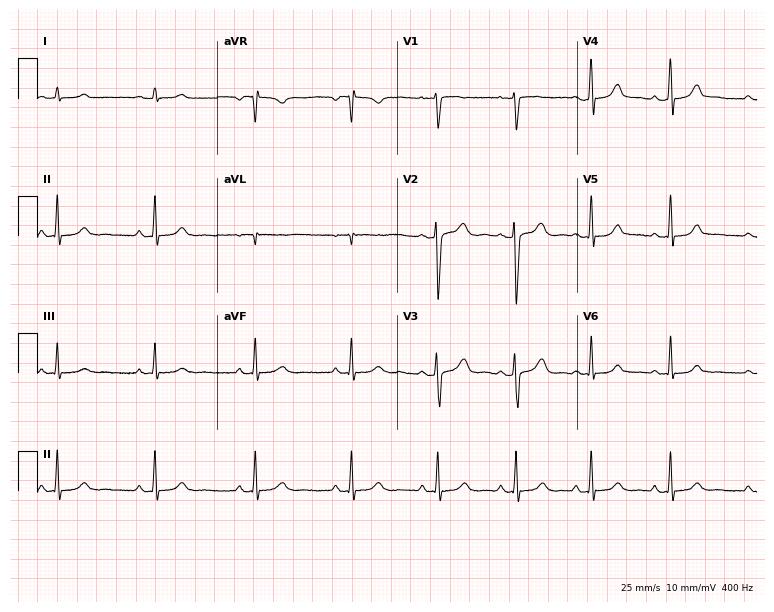
Resting 12-lead electrocardiogram (7.3-second recording at 400 Hz). Patient: a female, 25 years old. Read as a normal ECG.